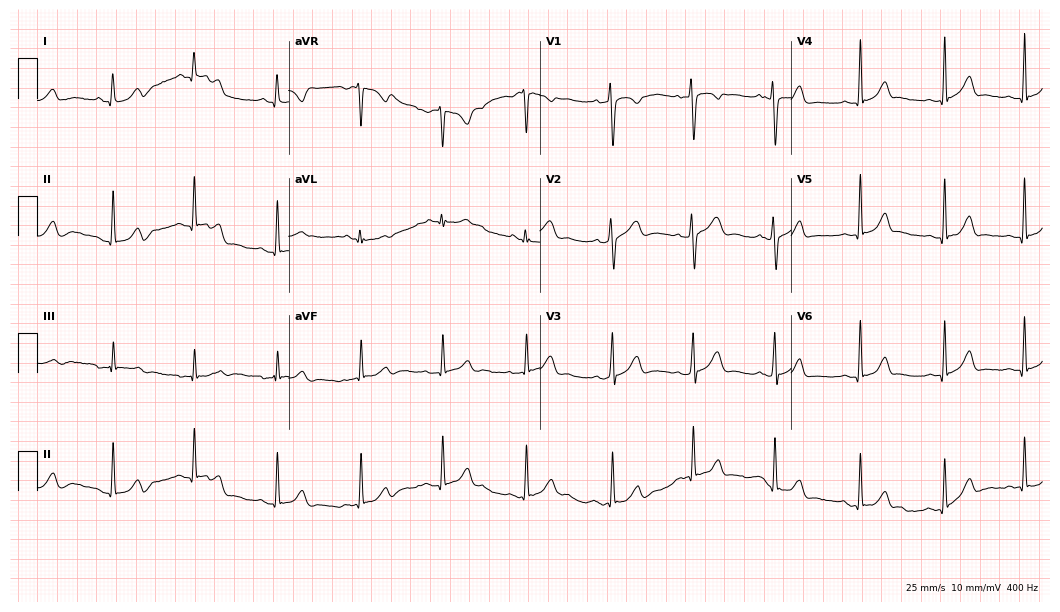
Standard 12-lead ECG recorded from a 22-year-old female patient. Read as a normal ECG.